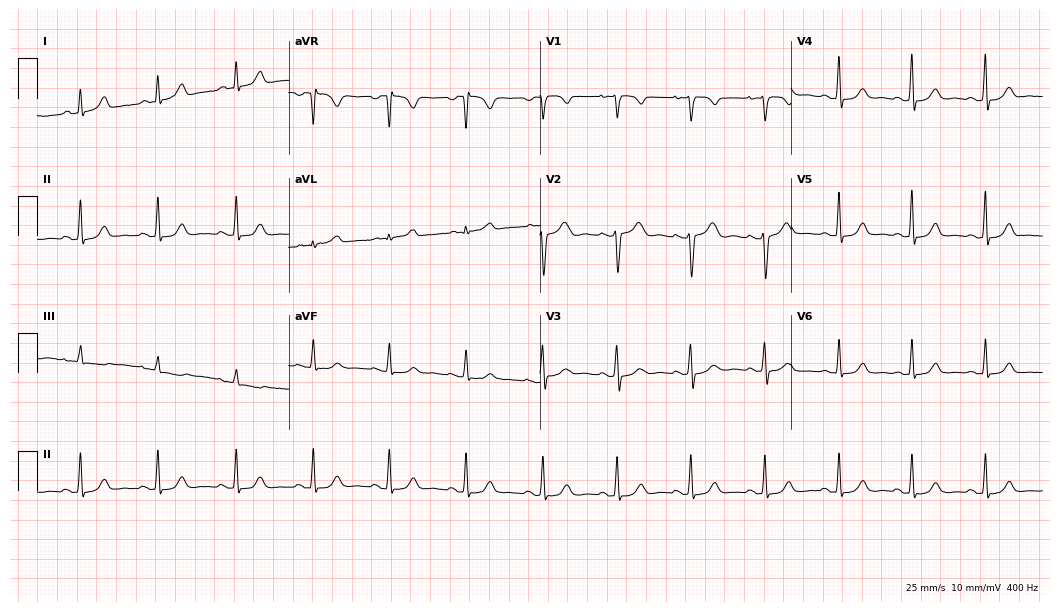
ECG — a female, 48 years old. Labelled as a normal ECG.